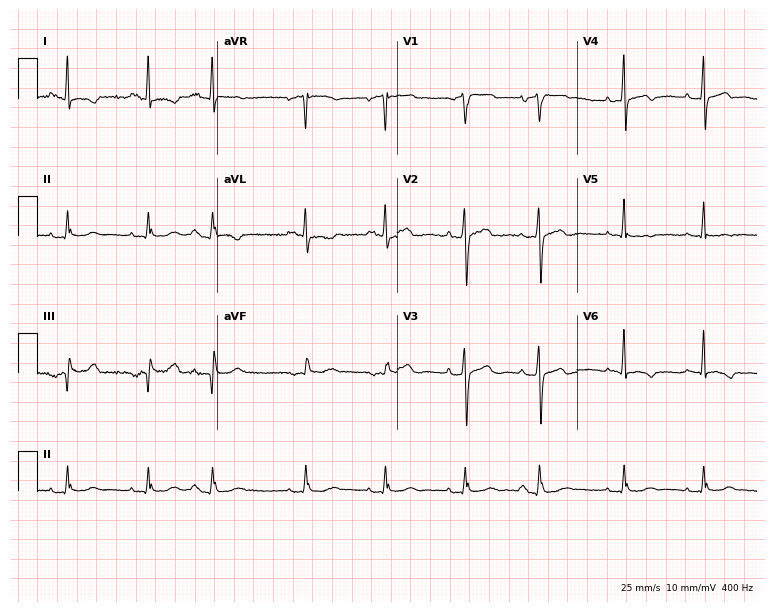
Resting 12-lead electrocardiogram (7.3-second recording at 400 Hz). Patient: a 77-year-old male. None of these six findings is recorded: first-degree AV block, right bundle branch block (RBBB), left bundle branch block (LBBB), sinus bradycardia, atrial fibrillation (AF), sinus tachycardia.